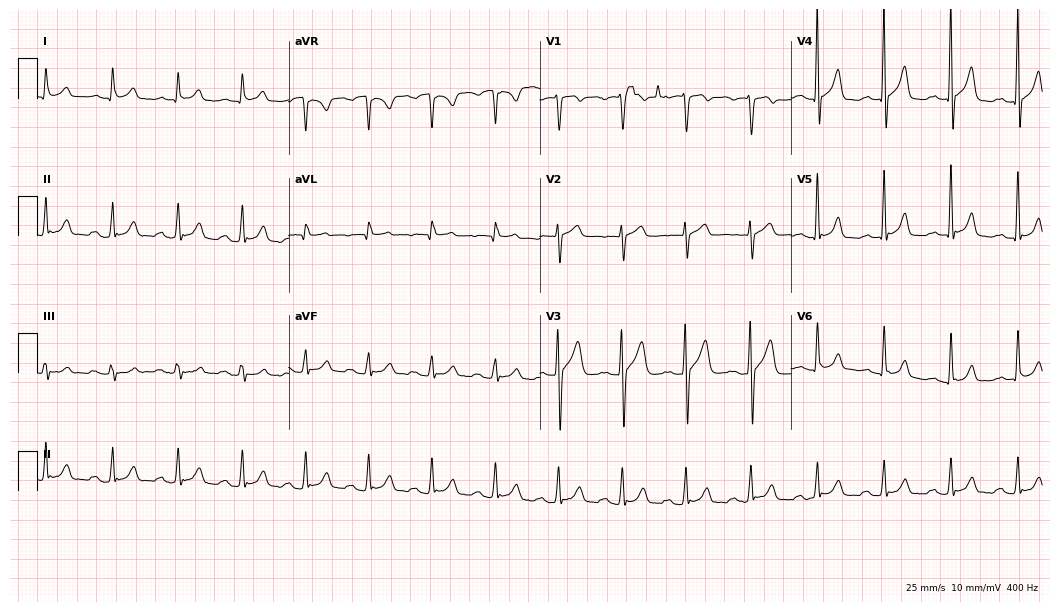
Resting 12-lead electrocardiogram. Patient: a 63-year-old male. Read as a normal ECG.